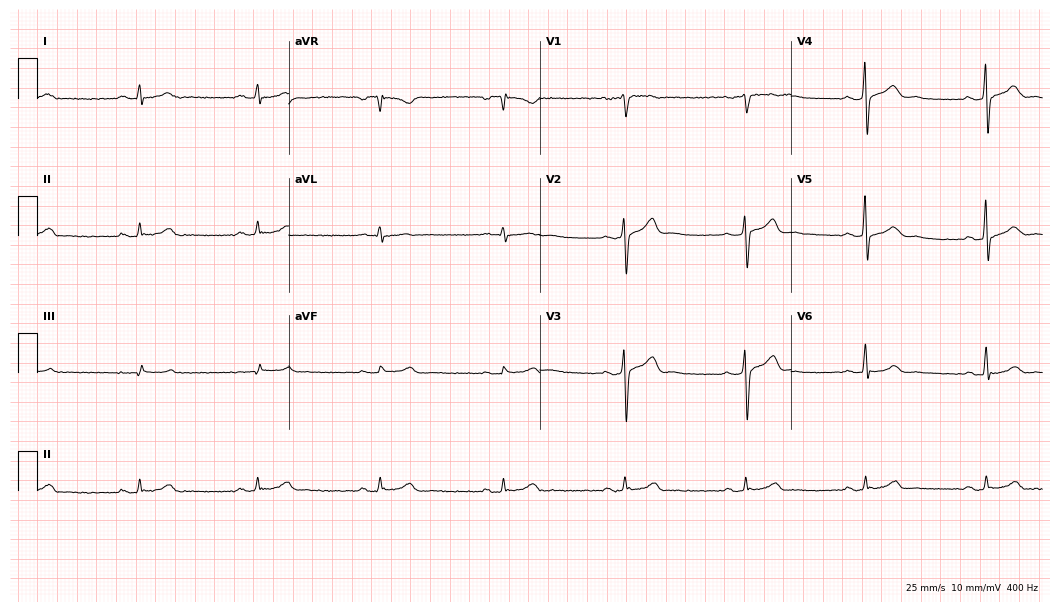
Electrocardiogram, a 33-year-old male patient. Of the six screened findings (first-degree AV block, right bundle branch block, left bundle branch block, sinus bradycardia, atrial fibrillation, sinus tachycardia), none is recorded.